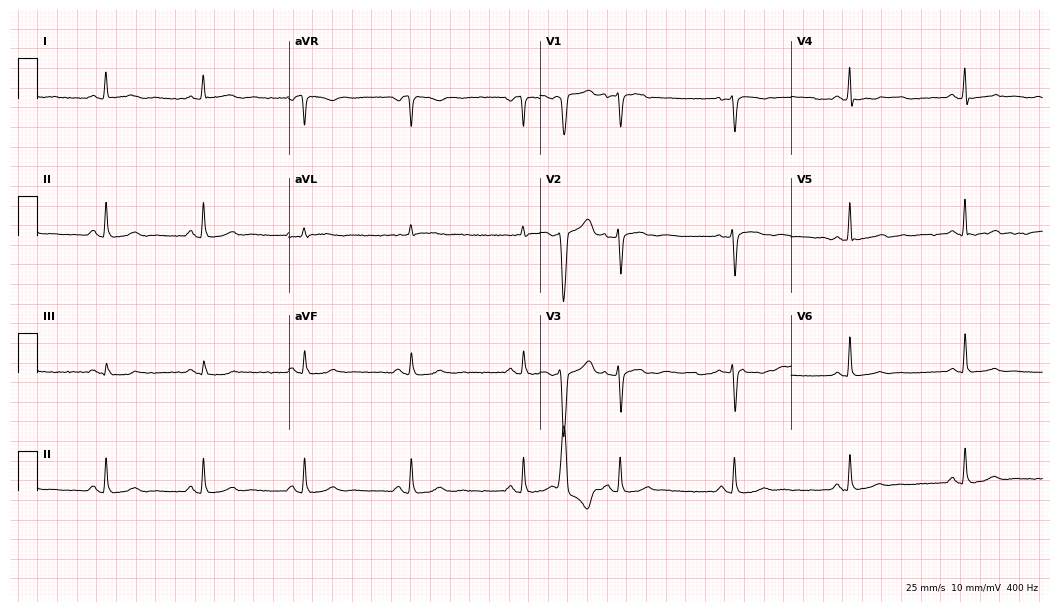
ECG (10.2-second recording at 400 Hz) — a female patient, 41 years old. Labelled as a normal ECG.